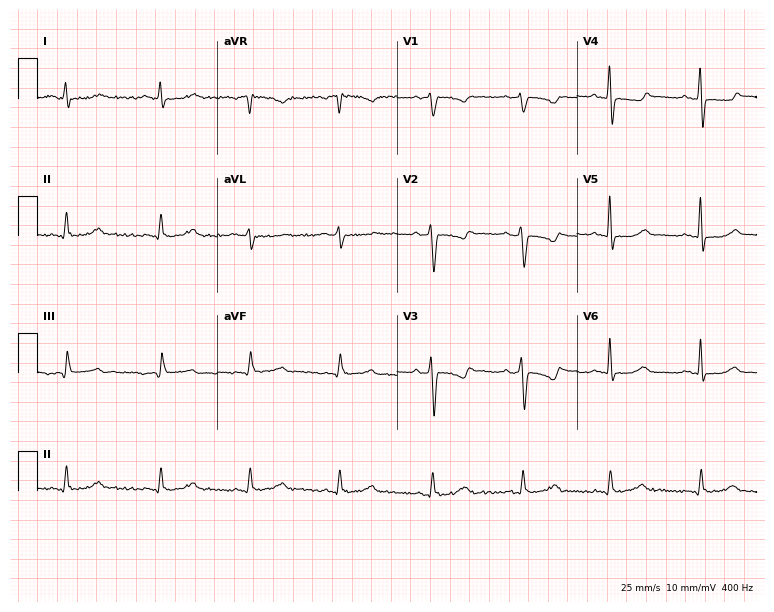
12-lead ECG (7.3-second recording at 400 Hz) from a 58-year-old woman. Screened for six findings — first-degree AV block, right bundle branch block, left bundle branch block, sinus bradycardia, atrial fibrillation, sinus tachycardia — none is recorded.